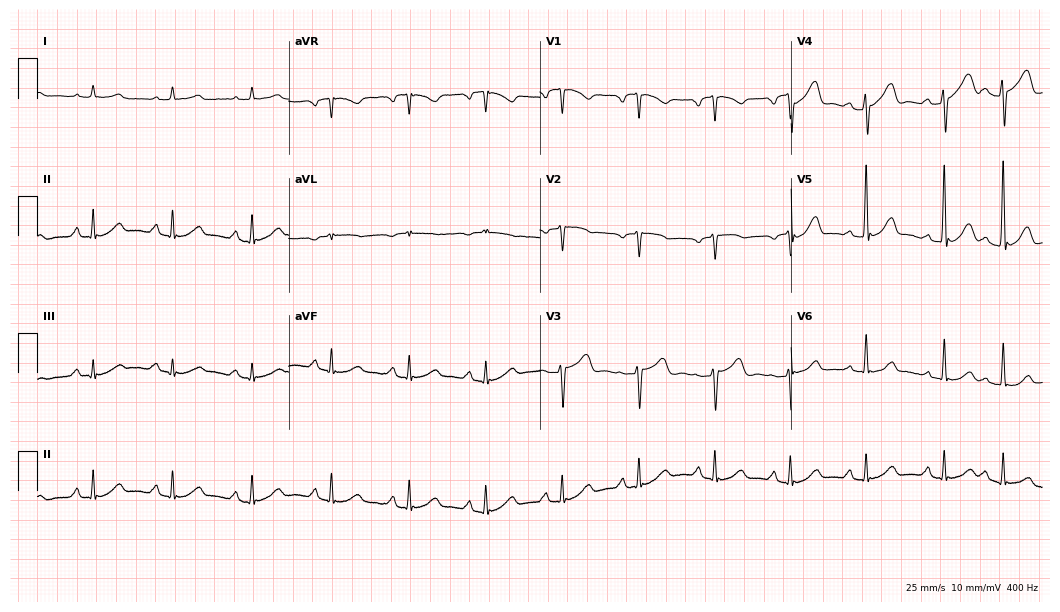
12-lead ECG from a man, 82 years old (10.2-second recording at 400 Hz). Recorded interpretation: within normal limits.